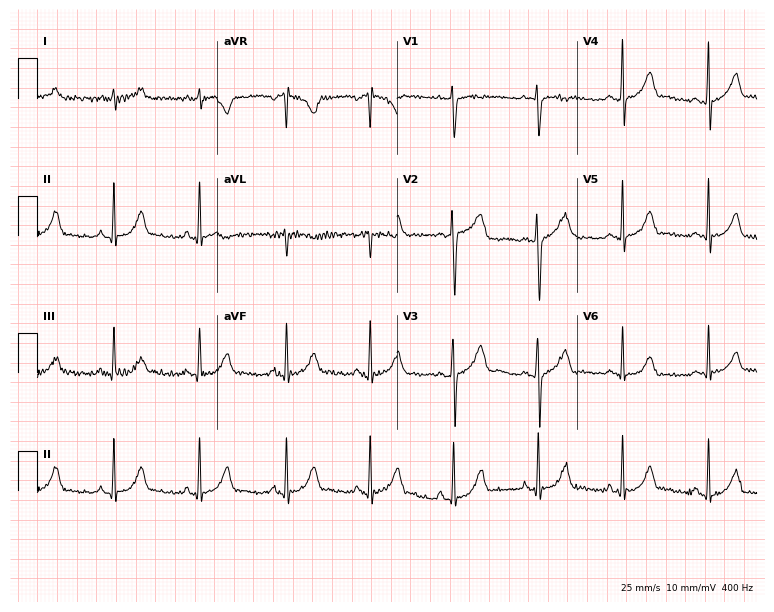
12-lead ECG from a 21-year-old female (7.3-second recording at 400 Hz). No first-degree AV block, right bundle branch block (RBBB), left bundle branch block (LBBB), sinus bradycardia, atrial fibrillation (AF) or sinus tachycardia recorded for this tracing.